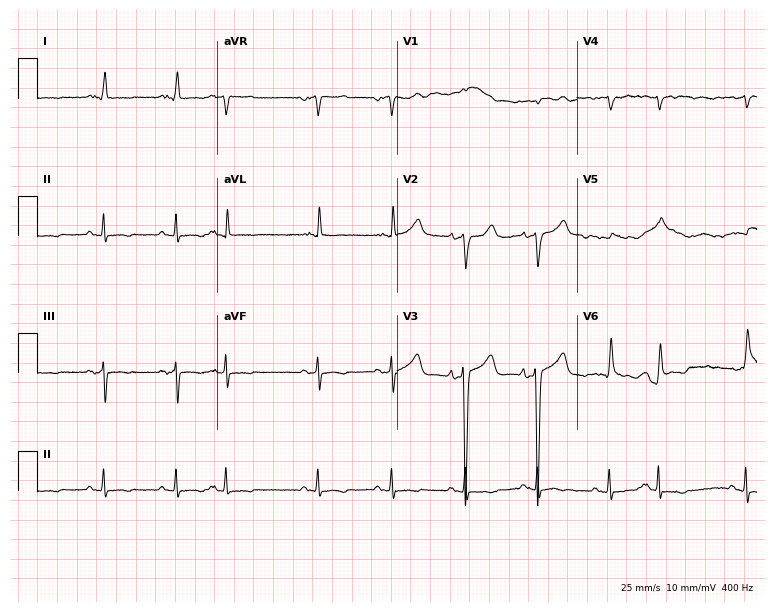
ECG — a 69-year-old male. Findings include atrial fibrillation.